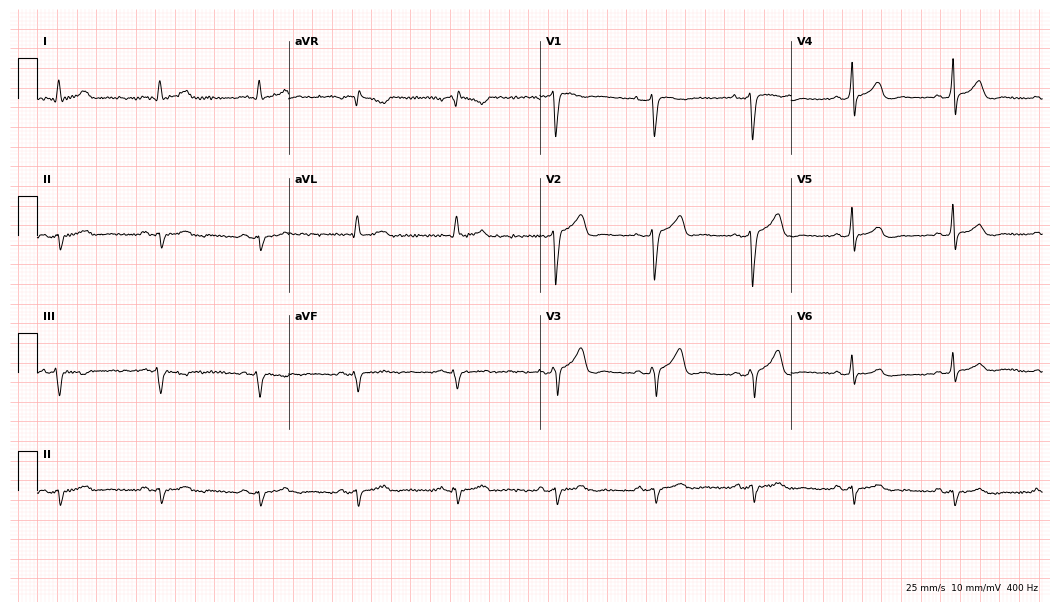
12-lead ECG from a male patient, 38 years old. No first-degree AV block, right bundle branch block, left bundle branch block, sinus bradycardia, atrial fibrillation or sinus tachycardia recorded for this tracing.